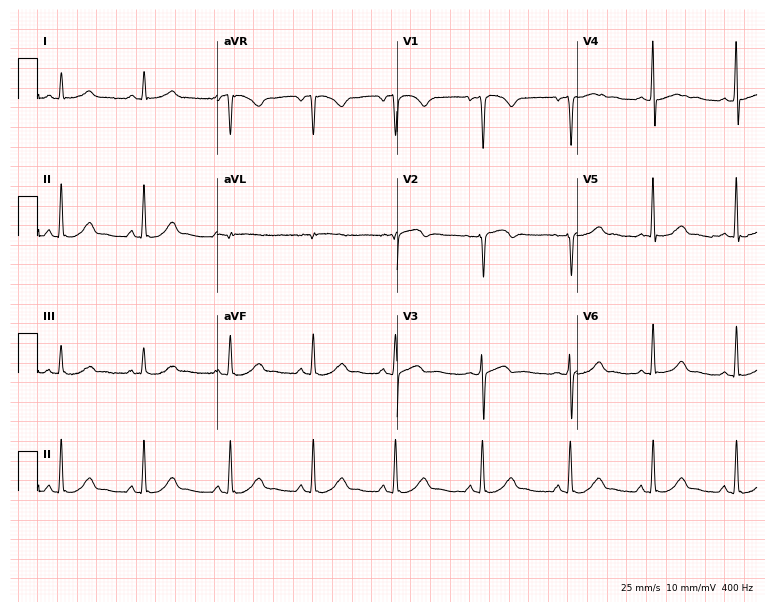
Standard 12-lead ECG recorded from a 39-year-old male. None of these six findings is recorded: first-degree AV block, right bundle branch block, left bundle branch block, sinus bradycardia, atrial fibrillation, sinus tachycardia.